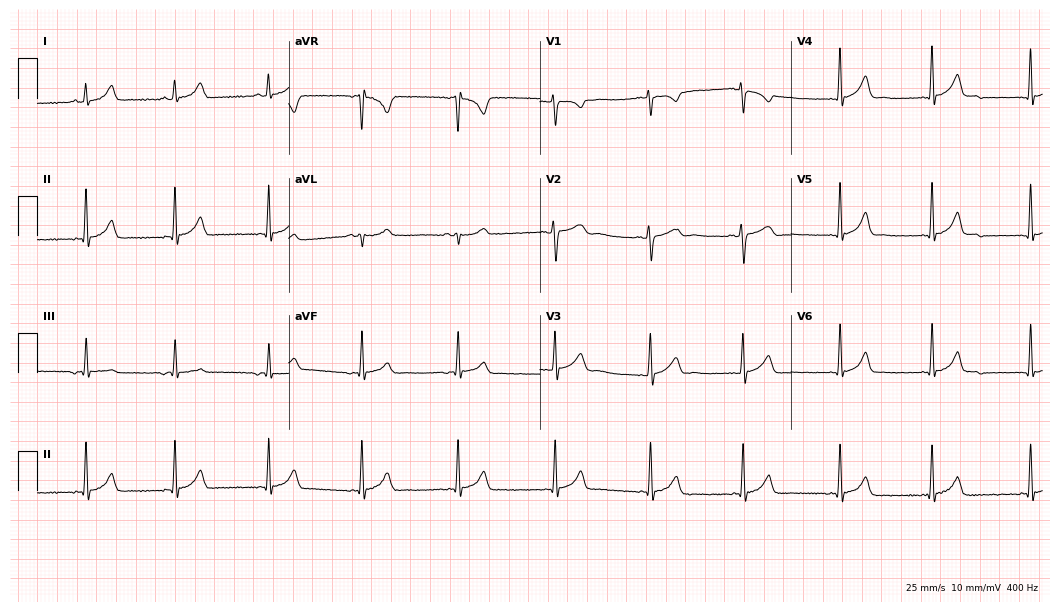
Standard 12-lead ECG recorded from a 33-year-old female patient (10.2-second recording at 400 Hz). None of these six findings is recorded: first-degree AV block, right bundle branch block, left bundle branch block, sinus bradycardia, atrial fibrillation, sinus tachycardia. Findings outside these six are not listed.